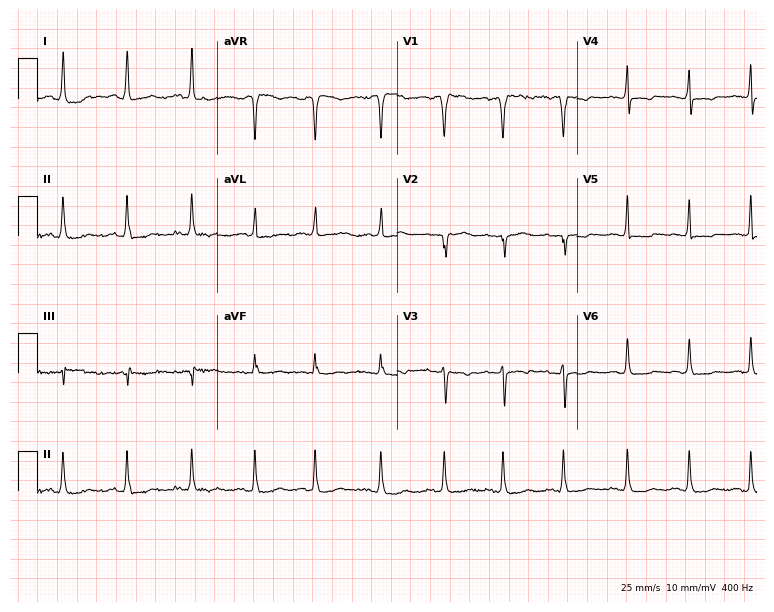
Electrocardiogram (7.3-second recording at 400 Hz), a female patient, 49 years old. Of the six screened findings (first-degree AV block, right bundle branch block, left bundle branch block, sinus bradycardia, atrial fibrillation, sinus tachycardia), none is recorded. Only these six findings were labelled.